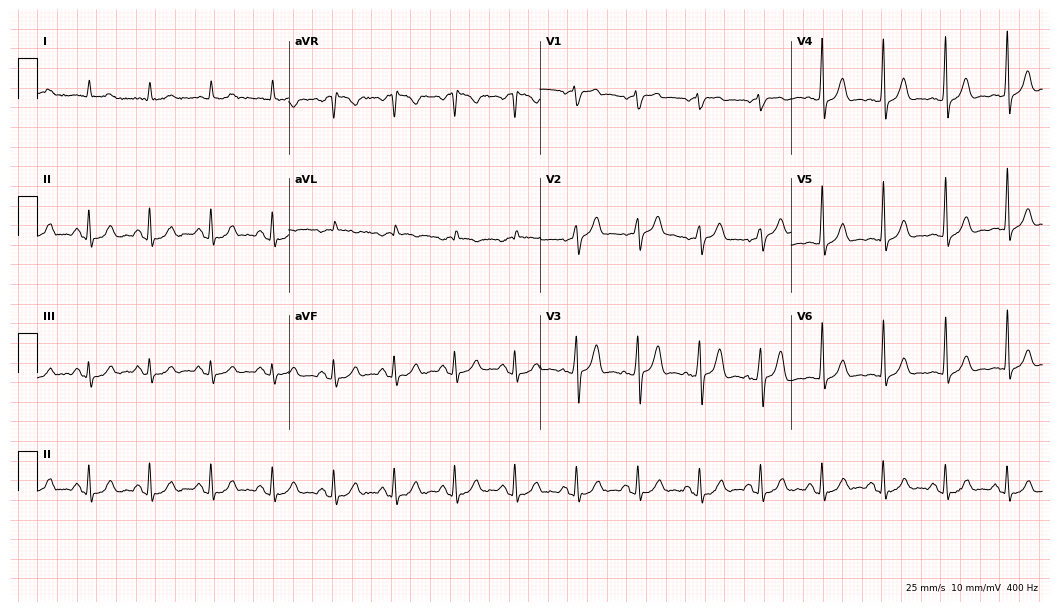
12-lead ECG from a 77-year-old man. Labelled as a normal ECG.